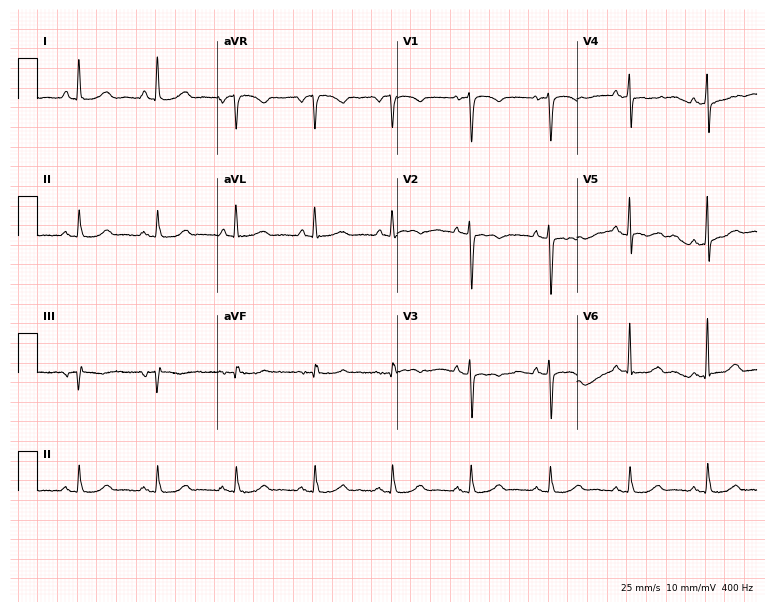
Electrocardiogram (7.3-second recording at 400 Hz), a woman, 68 years old. Of the six screened findings (first-degree AV block, right bundle branch block (RBBB), left bundle branch block (LBBB), sinus bradycardia, atrial fibrillation (AF), sinus tachycardia), none is recorded. Only these six findings were labelled.